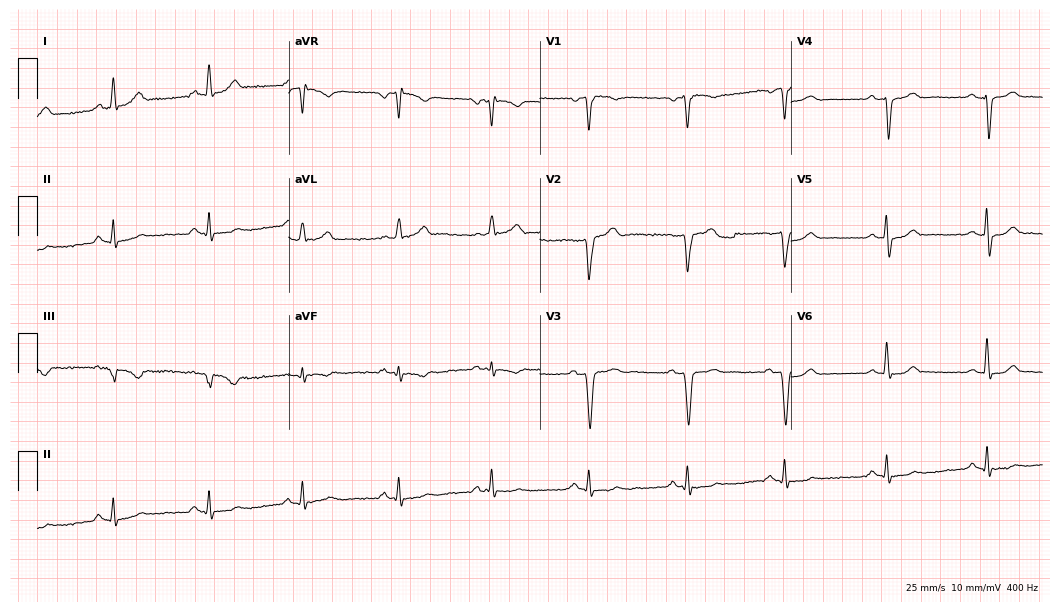
Electrocardiogram (10.2-second recording at 400 Hz), a male, 49 years old. Of the six screened findings (first-degree AV block, right bundle branch block, left bundle branch block, sinus bradycardia, atrial fibrillation, sinus tachycardia), none is recorded.